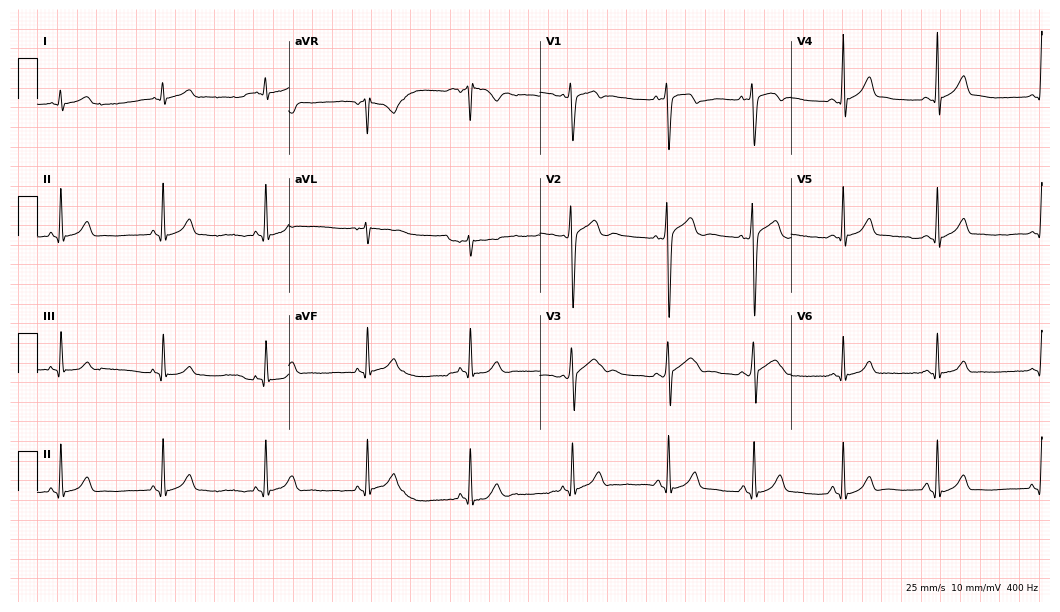
Standard 12-lead ECG recorded from a 20-year-old male patient. Read as a normal ECG.